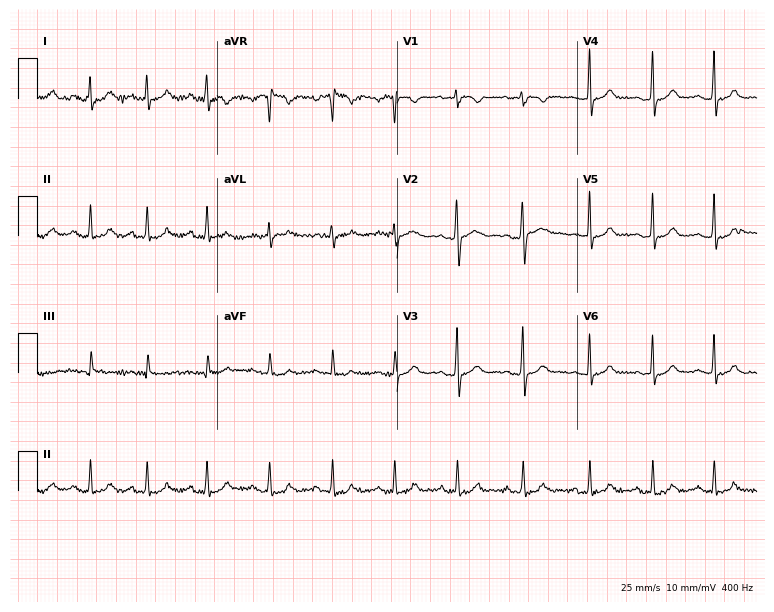
Resting 12-lead electrocardiogram (7.3-second recording at 400 Hz). Patient: a 32-year-old female. Read as a normal ECG.